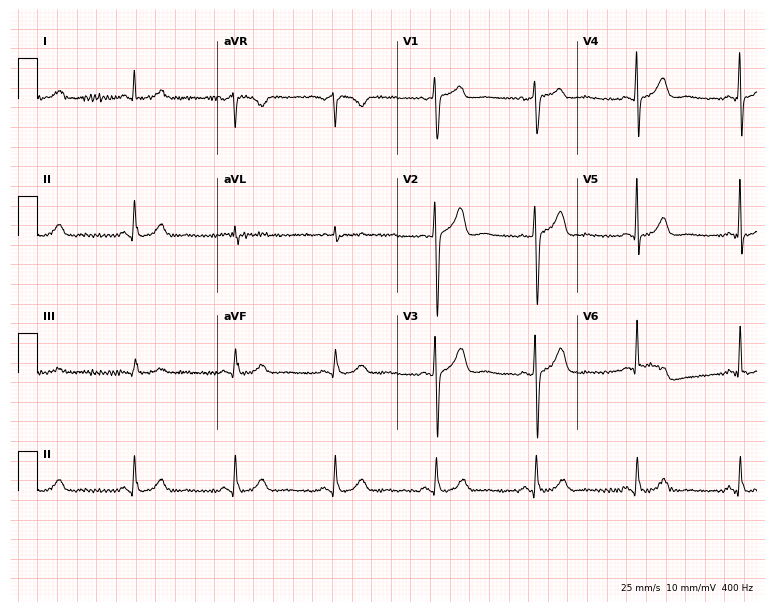
12-lead ECG from a female, 50 years old. Recorded interpretation: within normal limits.